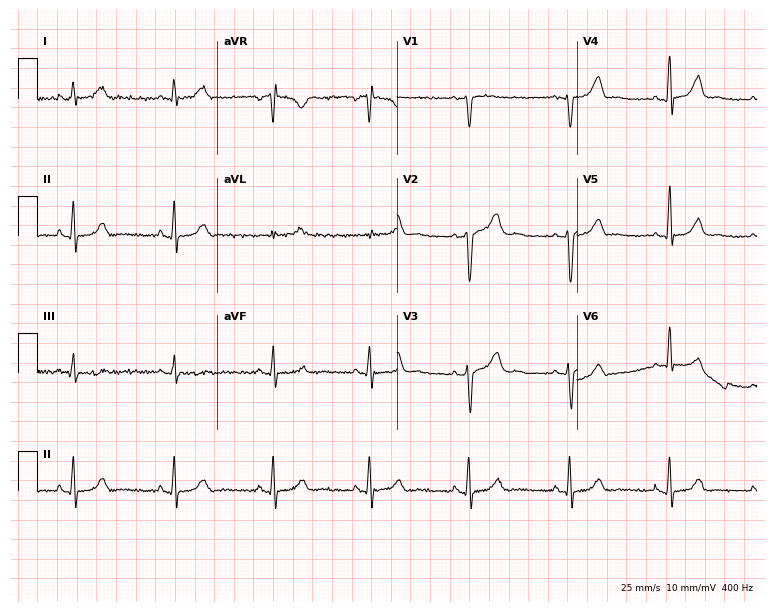
Electrocardiogram (7.3-second recording at 400 Hz), a woman, 40 years old. Overall reading on record: normal ECG.